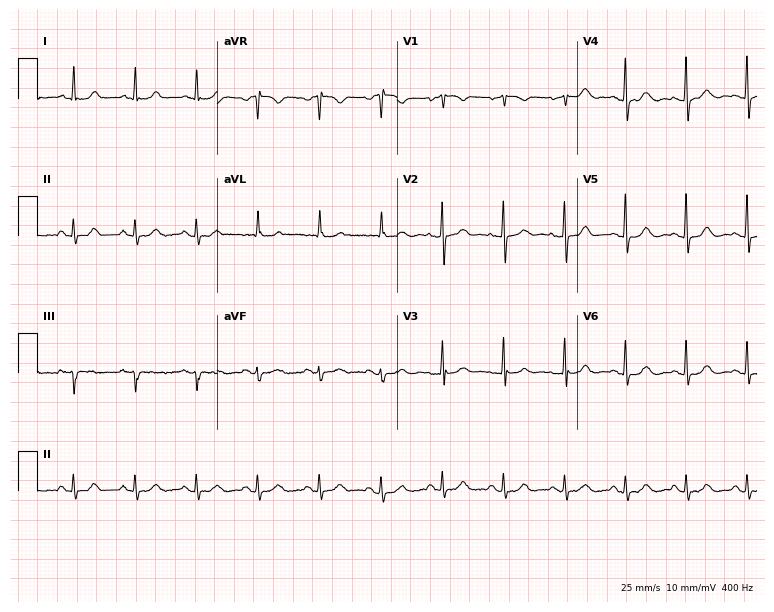
Standard 12-lead ECG recorded from a female, 72 years old. Read as a normal ECG.